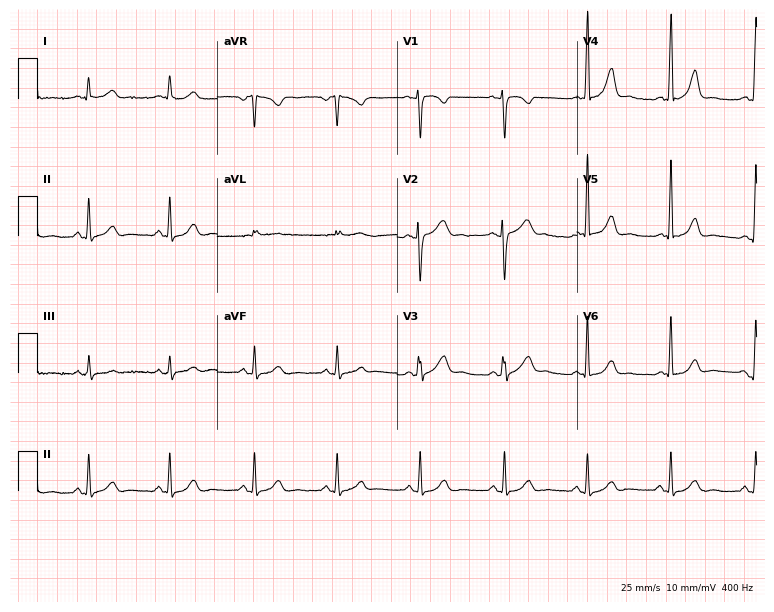
12-lead ECG from a female patient, 58 years old. Screened for six findings — first-degree AV block, right bundle branch block, left bundle branch block, sinus bradycardia, atrial fibrillation, sinus tachycardia — none is recorded. Only these six findings were labelled.